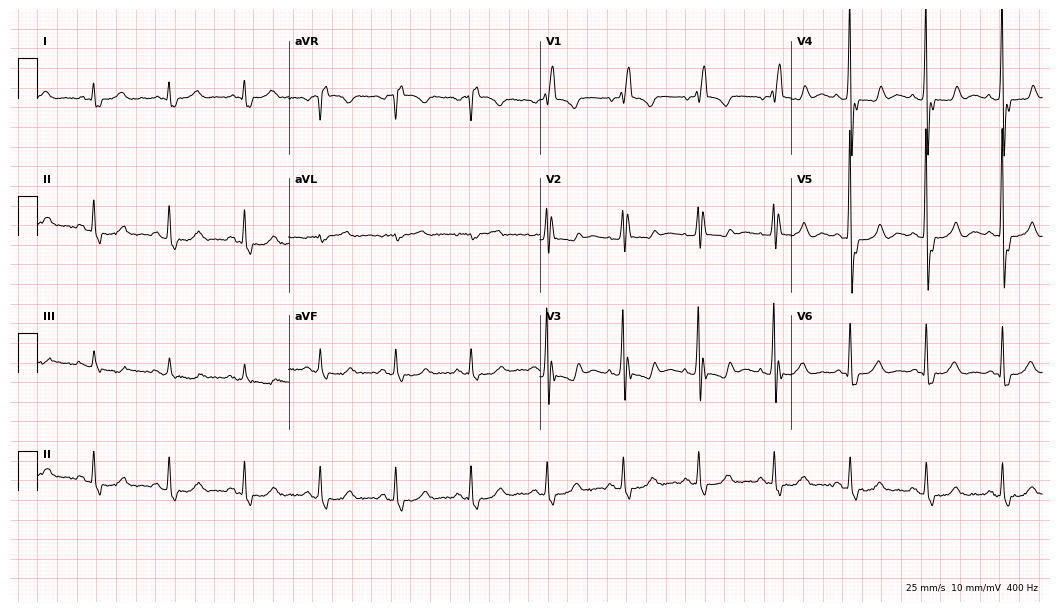
ECG — a male, 79 years old. Screened for six findings — first-degree AV block, right bundle branch block (RBBB), left bundle branch block (LBBB), sinus bradycardia, atrial fibrillation (AF), sinus tachycardia — none is recorded.